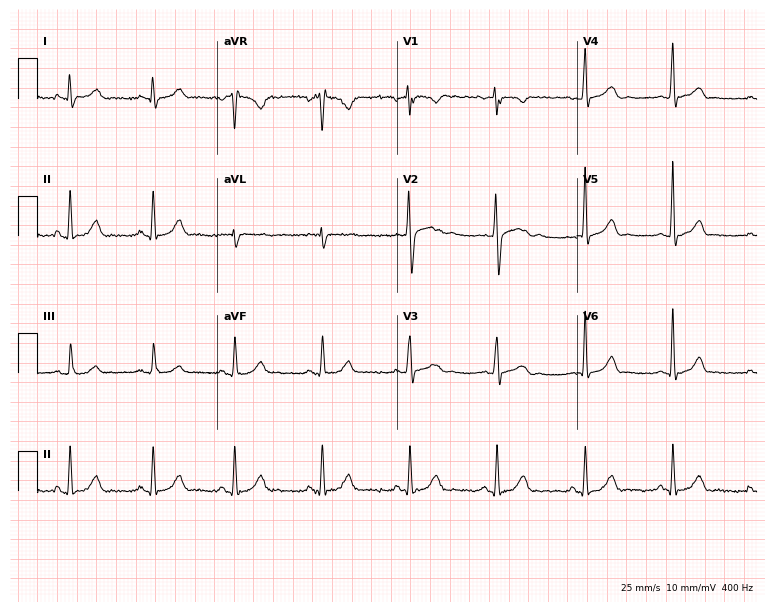
12-lead ECG from a man, 23 years old. Labelled as a normal ECG.